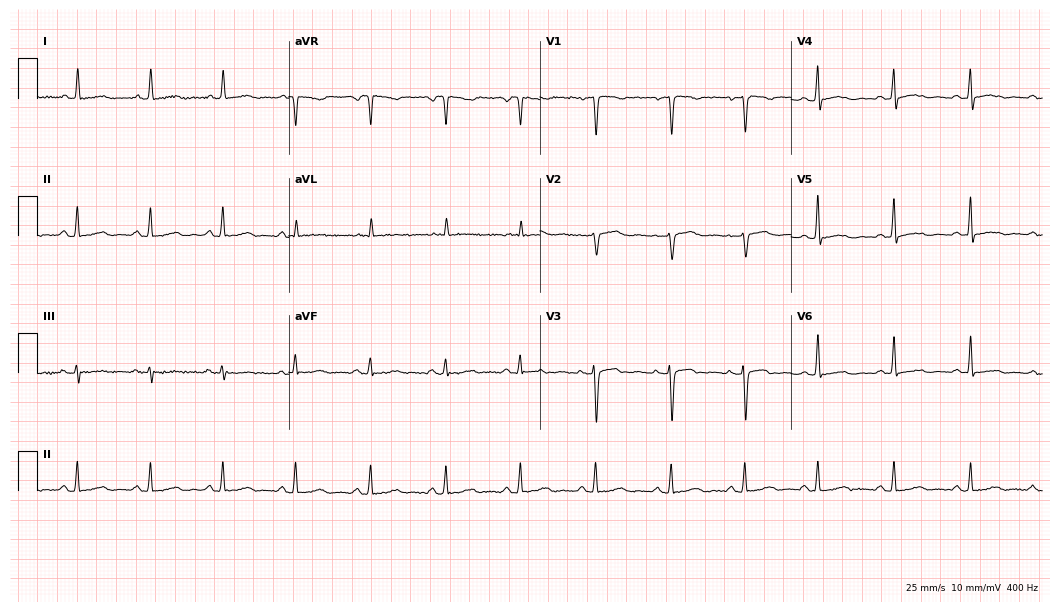
ECG (10.2-second recording at 400 Hz) — a female patient, 48 years old. Labelled as a normal ECG.